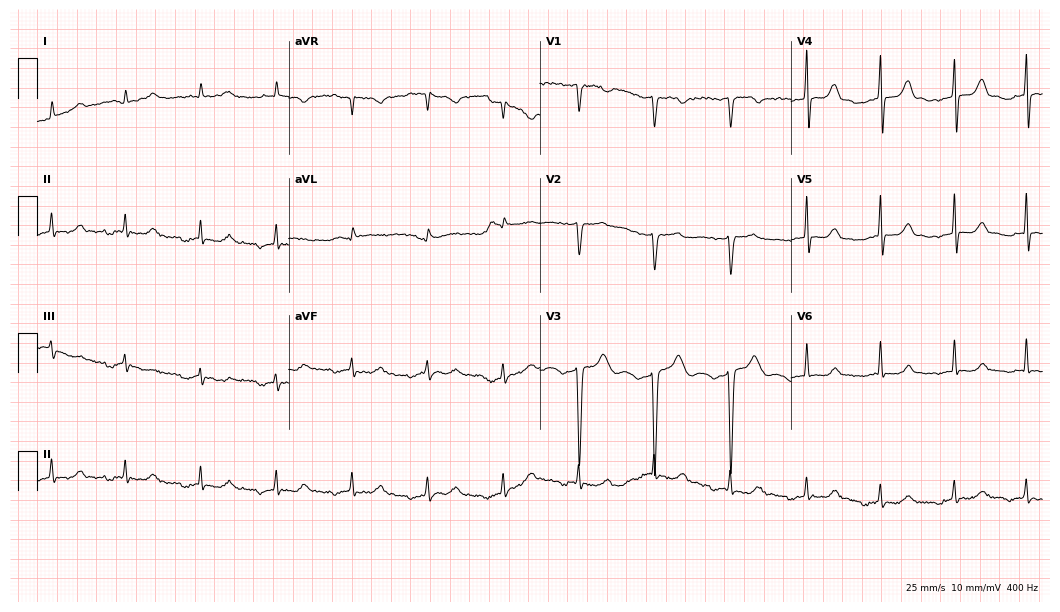
Standard 12-lead ECG recorded from a 69-year-old female (10.2-second recording at 400 Hz). None of these six findings is recorded: first-degree AV block, right bundle branch block (RBBB), left bundle branch block (LBBB), sinus bradycardia, atrial fibrillation (AF), sinus tachycardia. Only these six findings were labelled.